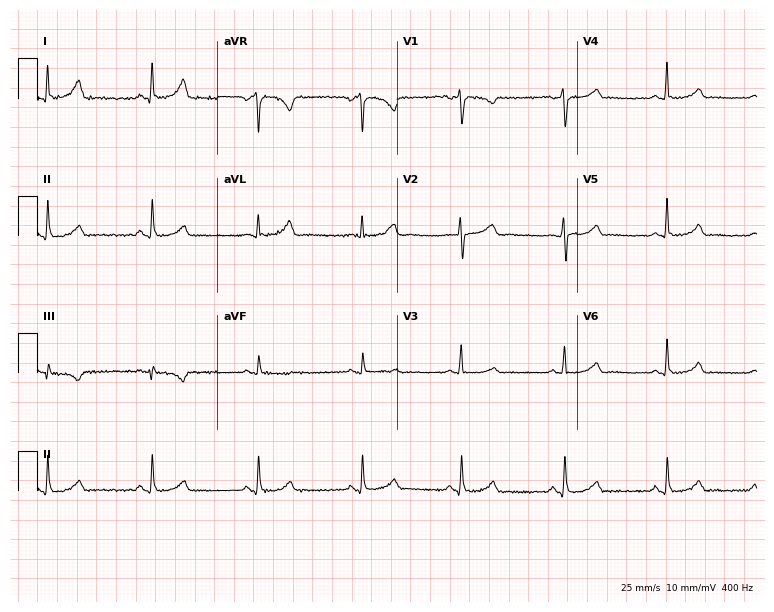
Electrocardiogram, a 43-year-old female. Overall reading on record: normal ECG.